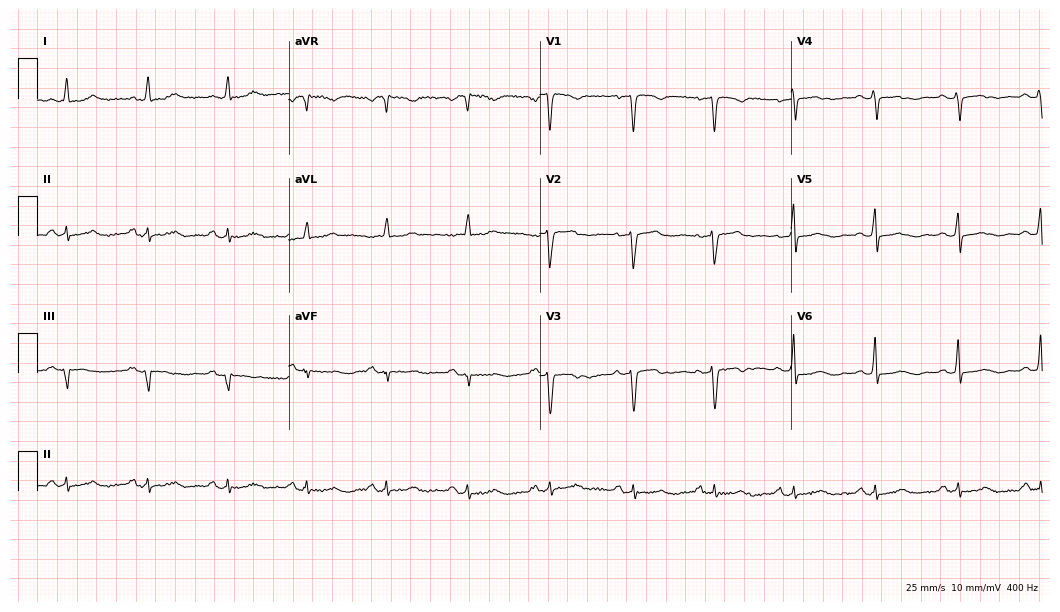
12-lead ECG from a 64-year-old female patient. Recorded interpretation: within normal limits.